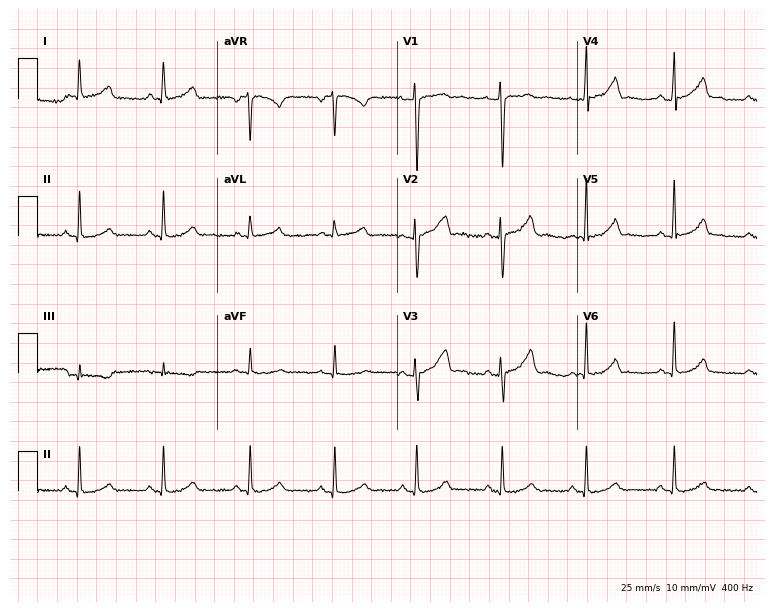
ECG — a woman, 24 years old. Screened for six findings — first-degree AV block, right bundle branch block (RBBB), left bundle branch block (LBBB), sinus bradycardia, atrial fibrillation (AF), sinus tachycardia — none is recorded.